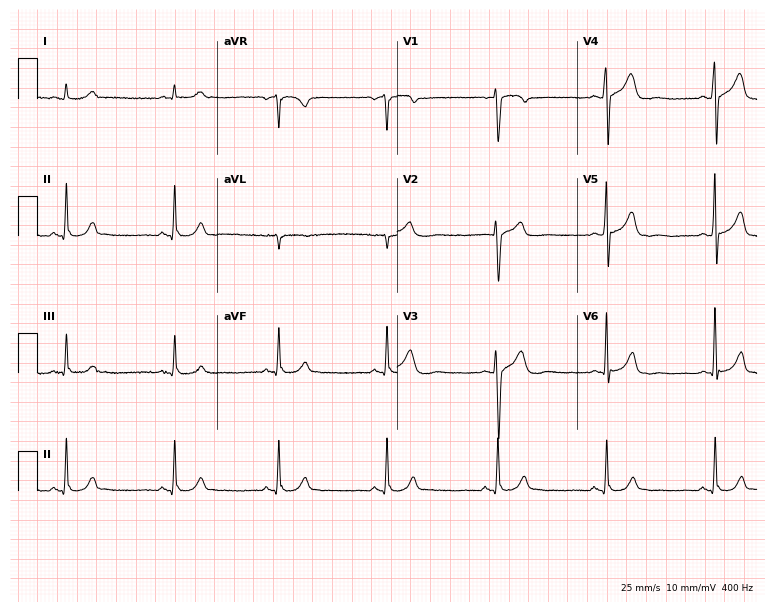
Electrocardiogram (7.3-second recording at 400 Hz), a male, 57 years old. Overall reading on record: normal ECG.